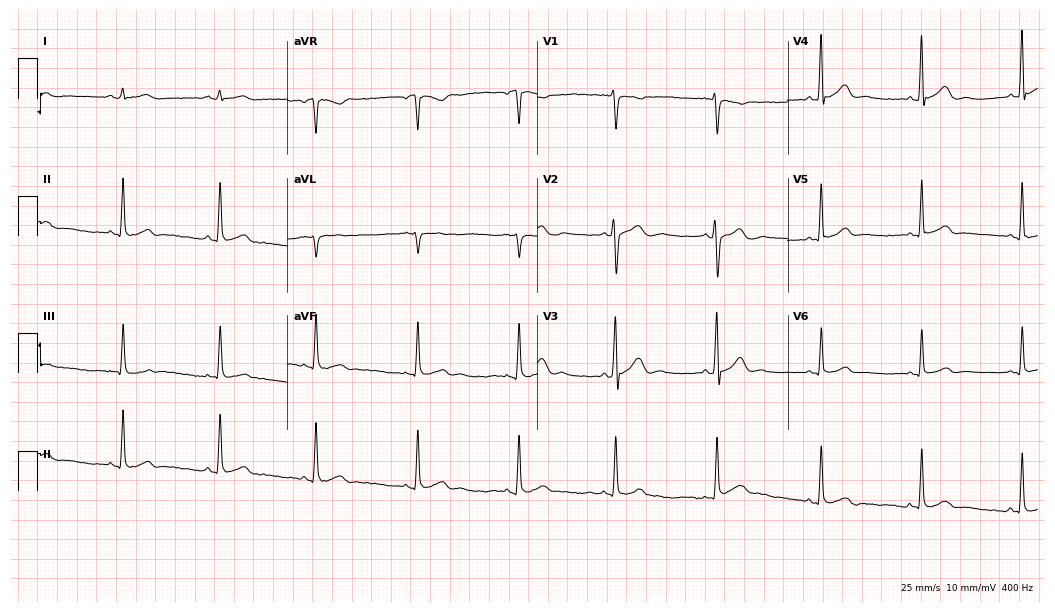
12-lead ECG (10.2-second recording at 400 Hz) from a 19-year-old female. Screened for six findings — first-degree AV block, right bundle branch block (RBBB), left bundle branch block (LBBB), sinus bradycardia, atrial fibrillation (AF), sinus tachycardia — none is recorded. Only these six findings were labelled.